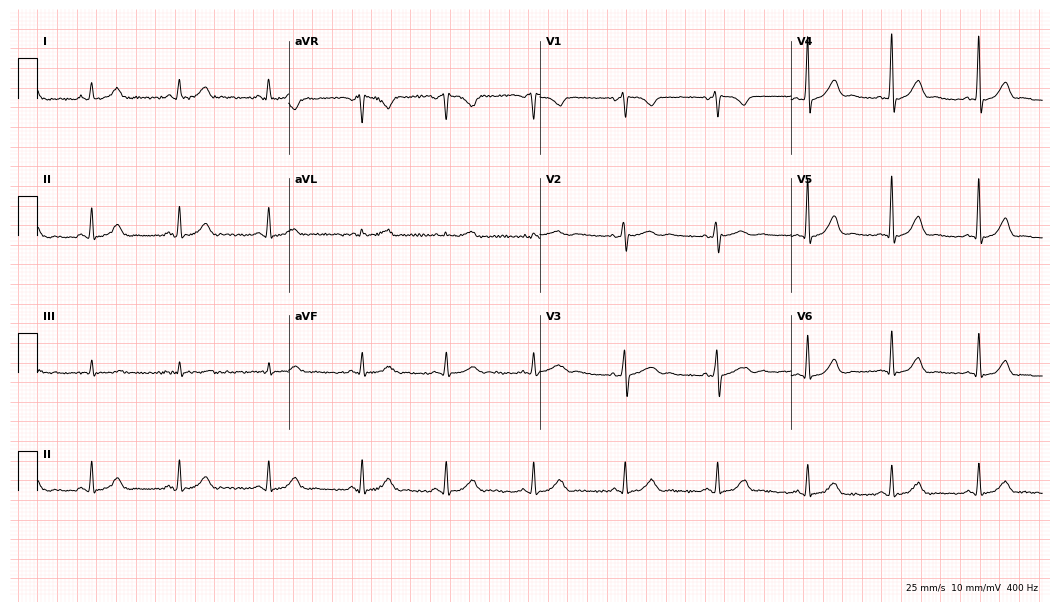
Resting 12-lead electrocardiogram. Patient: a woman, 43 years old. Read as a normal ECG.